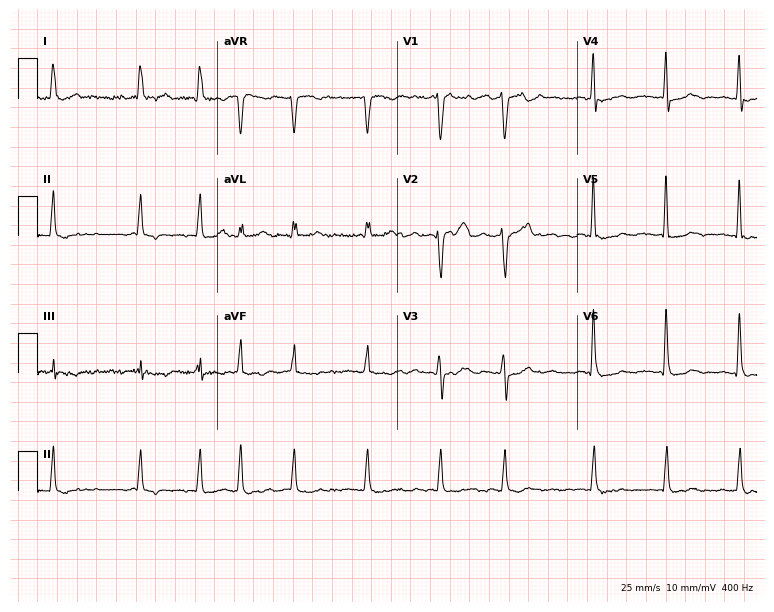
Standard 12-lead ECG recorded from a woman, 71 years old. The tracing shows atrial fibrillation.